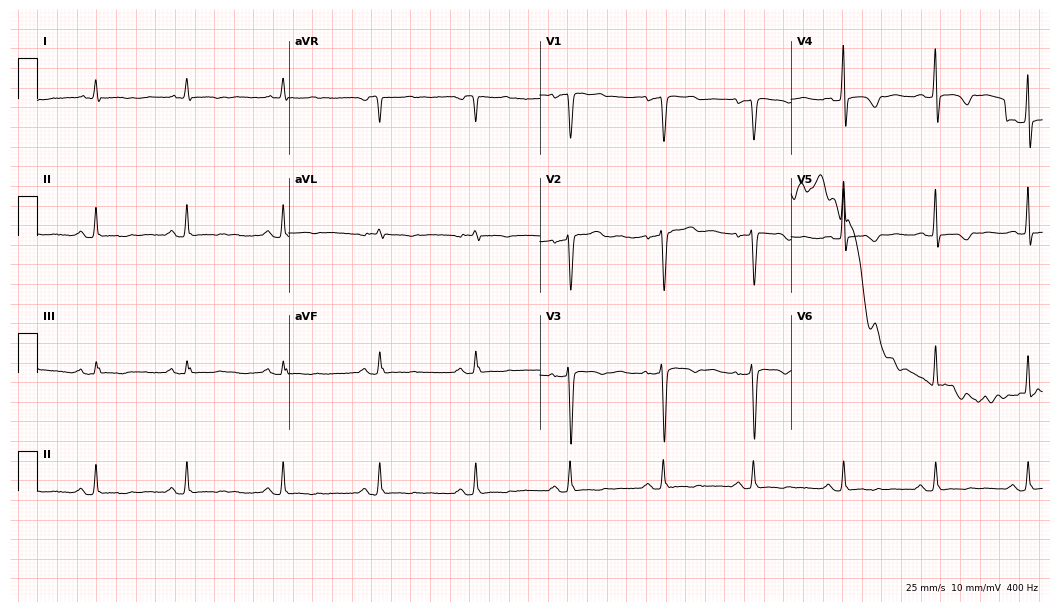
ECG — a female patient, 60 years old. Screened for six findings — first-degree AV block, right bundle branch block, left bundle branch block, sinus bradycardia, atrial fibrillation, sinus tachycardia — none is recorded. Other findings, if any, are not listed.